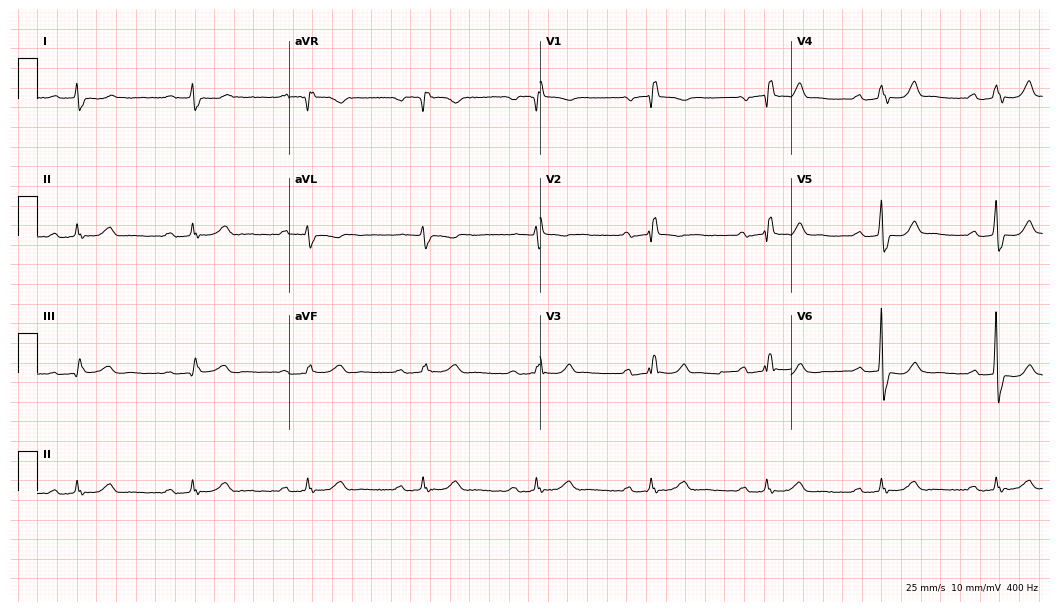
Resting 12-lead electrocardiogram (10.2-second recording at 400 Hz). Patient: a 75-year-old woman. The tracing shows first-degree AV block, right bundle branch block.